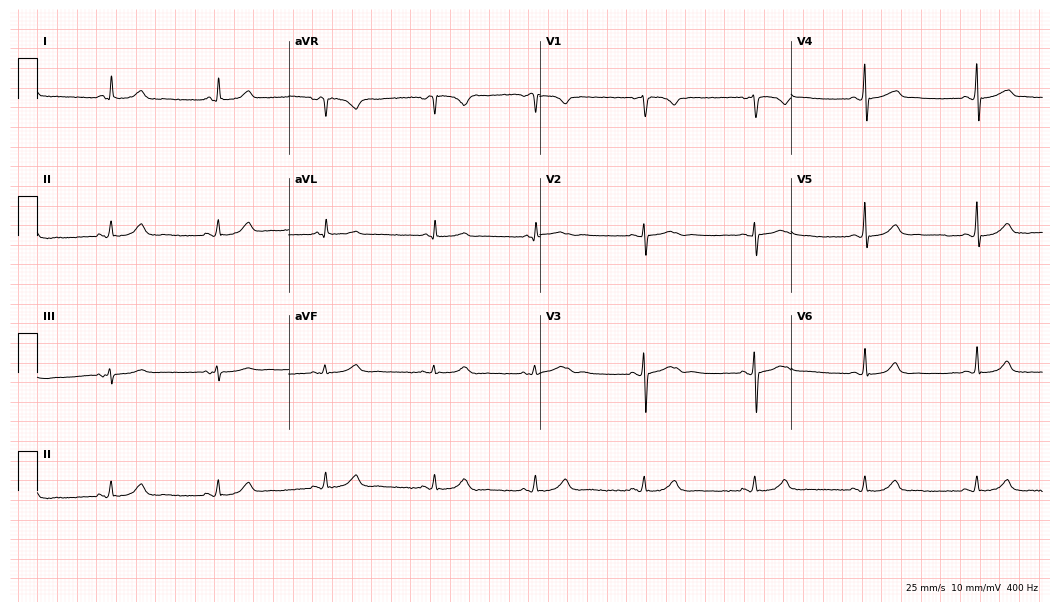
Electrocardiogram (10.2-second recording at 400 Hz), a 38-year-old female patient. Overall reading on record: normal ECG.